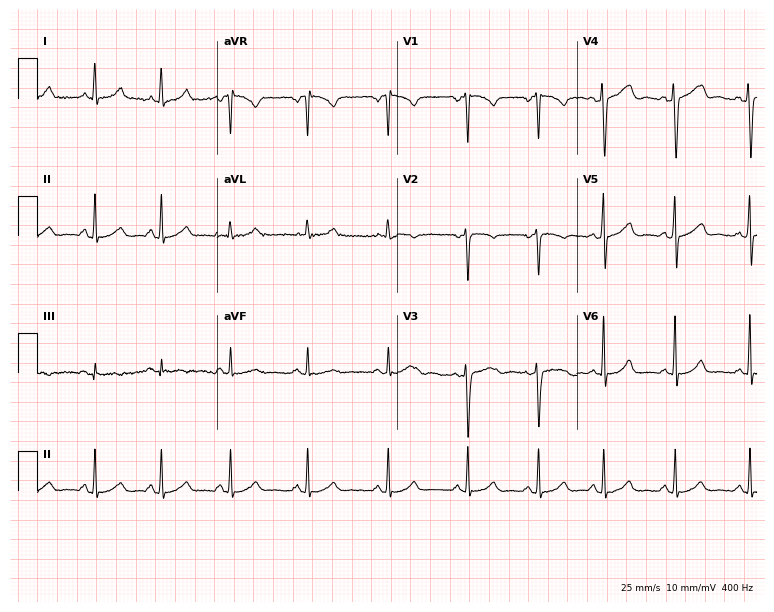
12-lead ECG from a 26-year-old woman. Screened for six findings — first-degree AV block, right bundle branch block (RBBB), left bundle branch block (LBBB), sinus bradycardia, atrial fibrillation (AF), sinus tachycardia — none is recorded.